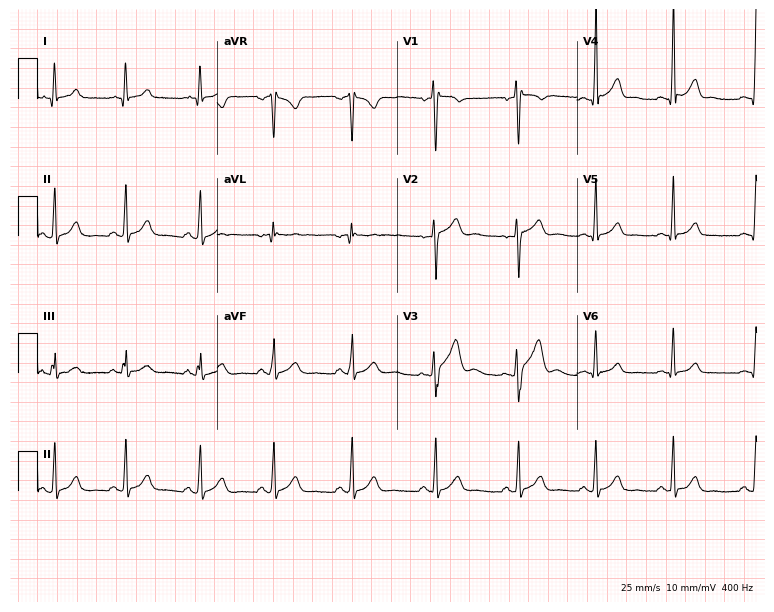
Standard 12-lead ECG recorded from a 20-year-old male patient. Read as a normal ECG.